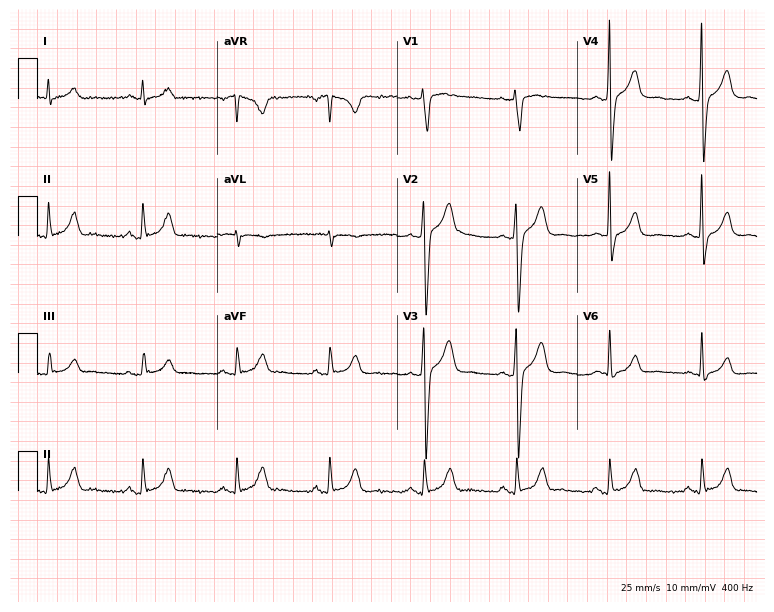
ECG — a man, 31 years old. Screened for six findings — first-degree AV block, right bundle branch block (RBBB), left bundle branch block (LBBB), sinus bradycardia, atrial fibrillation (AF), sinus tachycardia — none is recorded. Only these six findings were labelled.